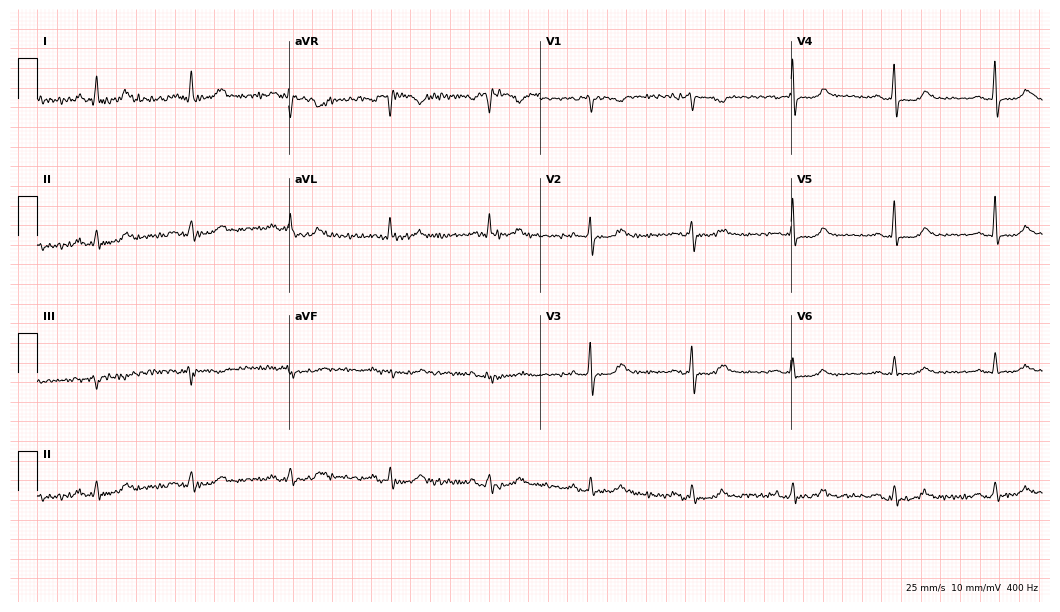
ECG (10.2-second recording at 400 Hz) — a female, 66 years old. Screened for six findings — first-degree AV block, right bundle branch block (RBBB), left bundle branch block (LBBB), sinus bradycardia, atrial fibrillation (AF), sinus tachycardia — none is recorded.